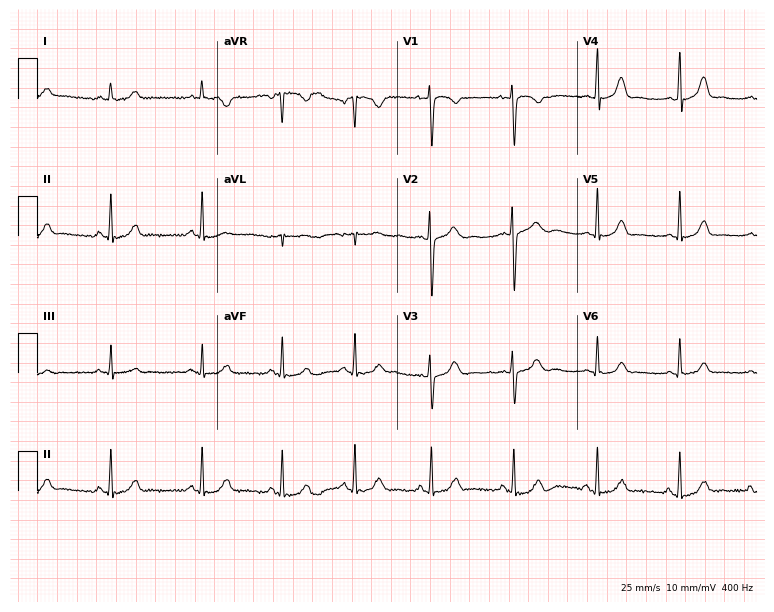
Standard 12-lead ECG recorded from a woman, 21 years old (7.3-second recording at 400 Hz). None of these six findings is recorded: first-degree AV block, right bundle branch block, left bundle branch block, sinus bradycardia, atrial fibrillation, sinus tachycardia. Other findings, if any, are not listed.